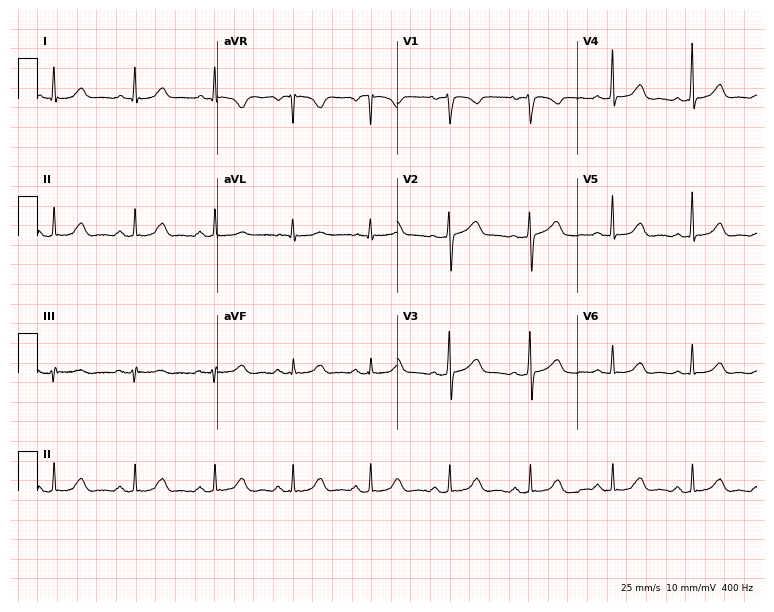
Electrocardiogram, a female patient, 24 years old. Of the six screened findings (first-degree AV block, right bundle branch block, left bundle branch block, sinus bradycardia, atrial fibrillation, sinus tachycardia), none is recorded.